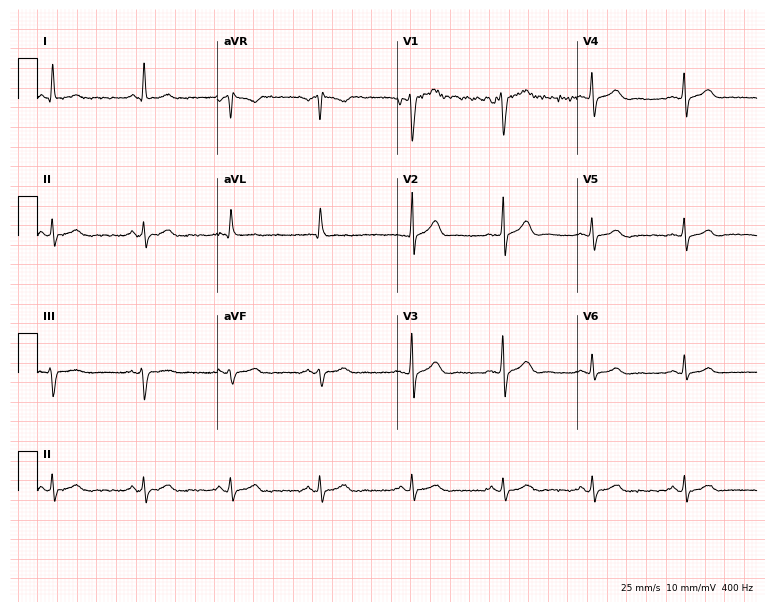
Standard 12-lead ECG recorded from a 50-year-old male patient (7.3-second recording at 400 Hz). Read as a normal ECG.